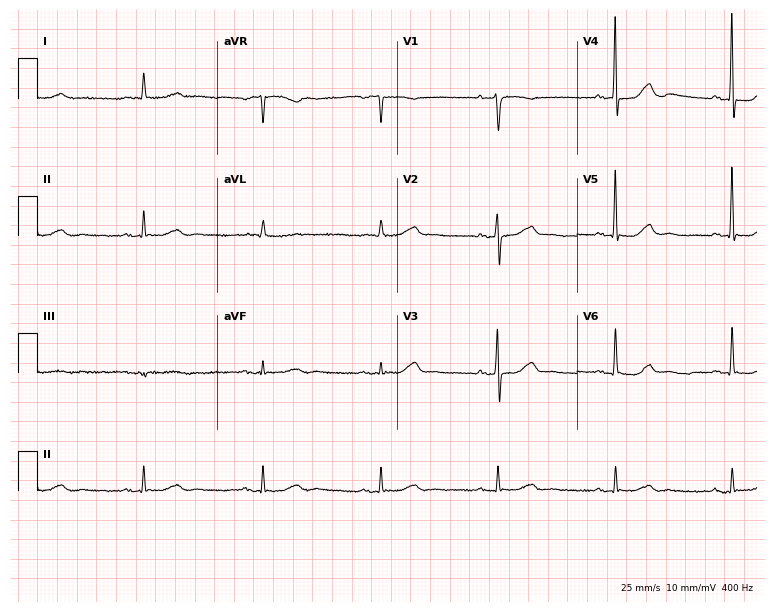
12-lead ECG from a 61-year-old female. Screened for six findings — first-degree AV block, right bundle branch block, left bundle branch block, sinus bradycardia, atrial fibrillation, sinus tachycardia — none is recorded. Only these six findings were labelled.